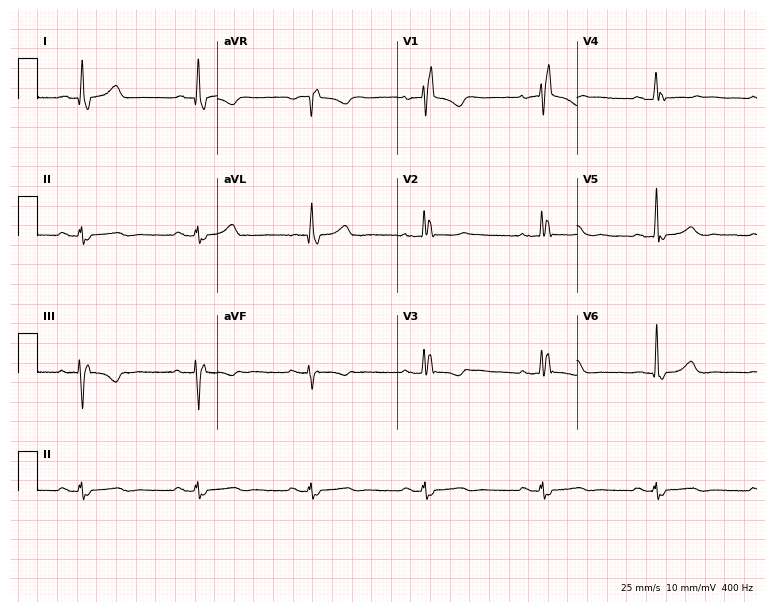
12-lead ECG from a female, 43 years old. Shows right bundle branch block.